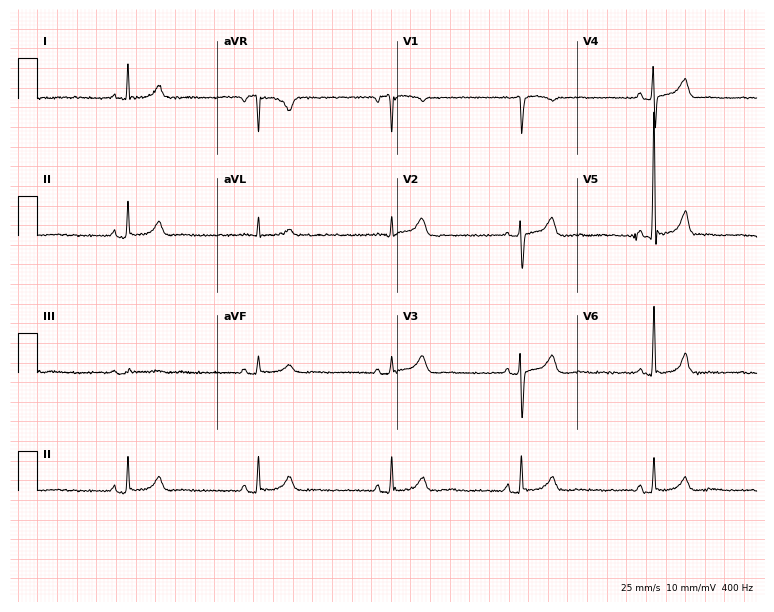
Electrocardiogram (7.3-second recording at 400 Hz), an 83-year-old man. Interpretation includes sinus bradycardia (a sinus rate of 50 beats per minute or less).